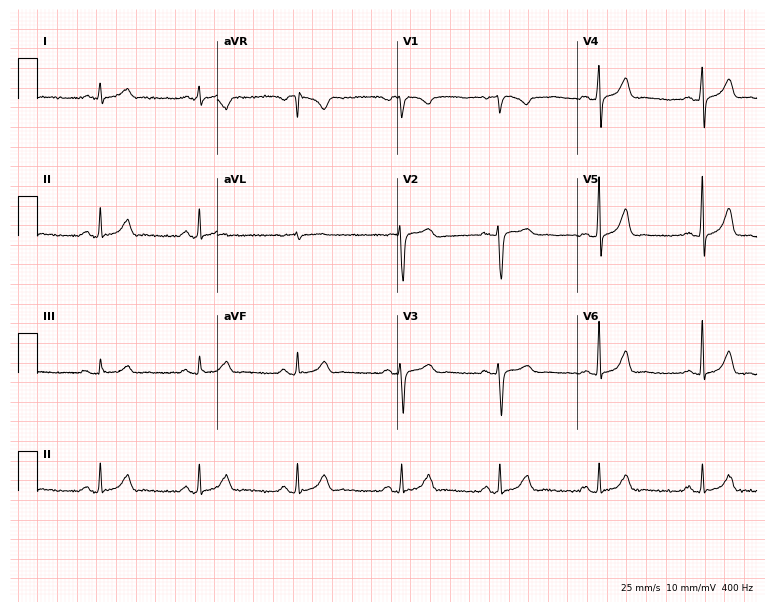
12-lead ECG from a female, 47 years old (7.3-second recording at 400 Hz). Recorded interpretation: within normal limits.